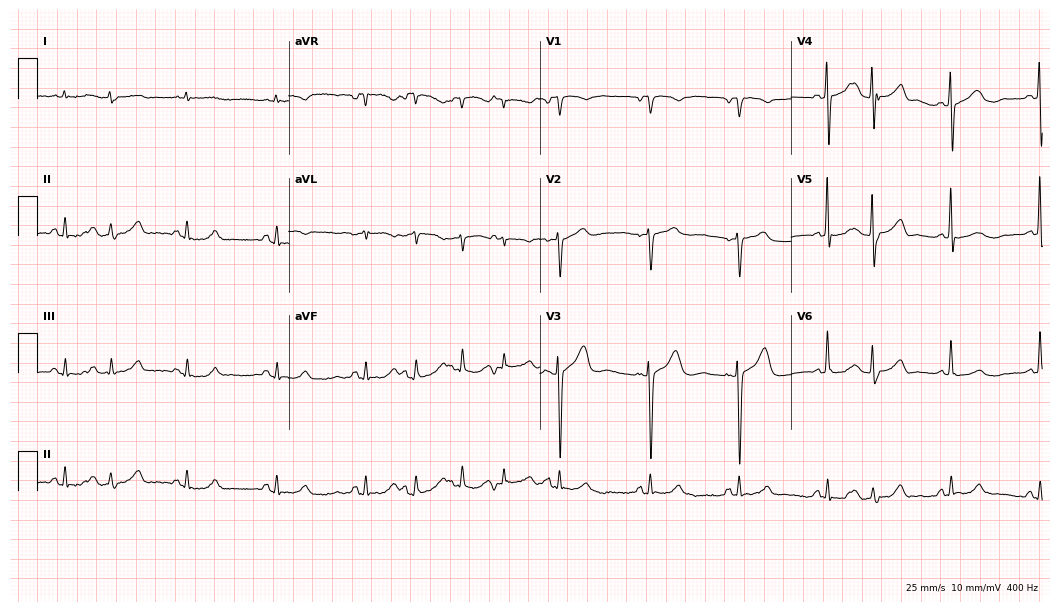
Electrocardiogram (10.2-second recording at 400 Hz), a 74-year-old female patient. Of the six screened findings (first-degree AV block, right bundle branch block (RBBB), left bundle branch block (LBBB), sinus bradycardia, atrial fibrillation (AF), sinus tachycardia), none is recorded. Other findings, if any, are not listed.